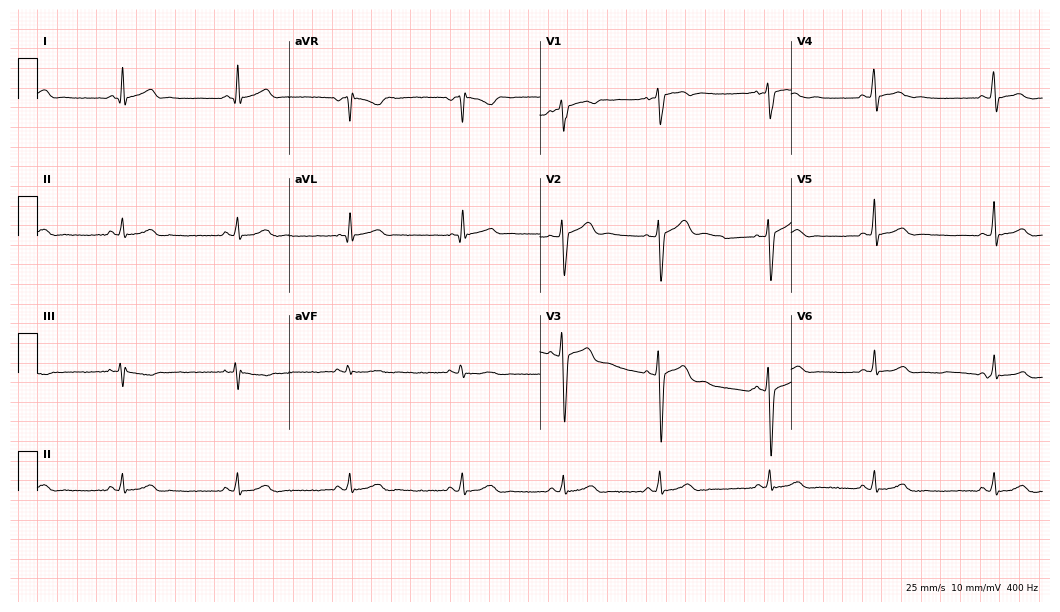
Electrocardiogram (10.2-second recording at 400 Hz), a 23-year-old male. Overall reading on record: normal ECG.